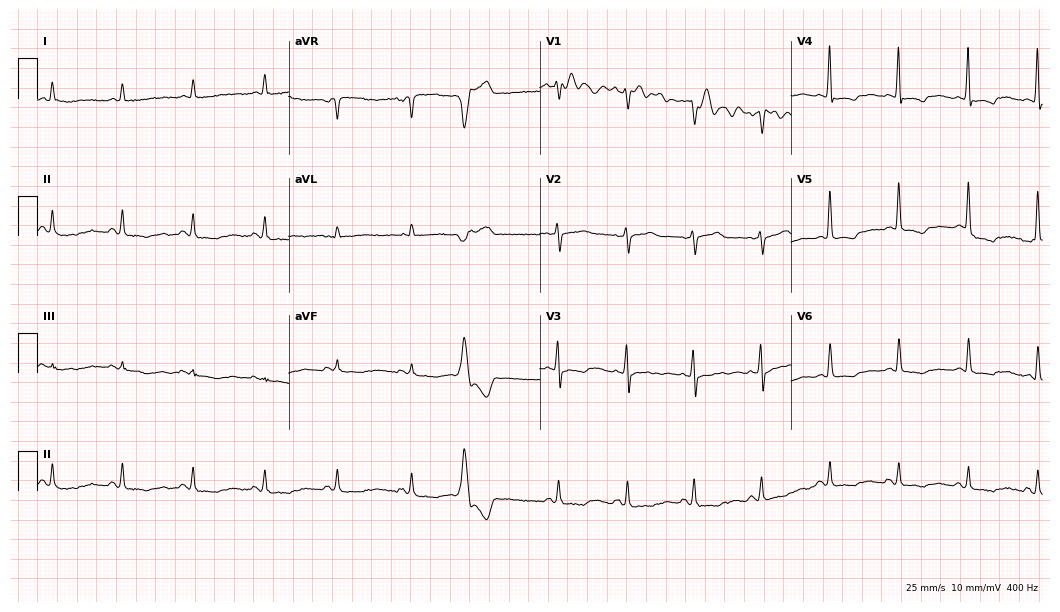
ECG (10.2-second recording at 400 Hz) — a 77-year-old male. Screened for six findings — first-degree AV block, right bundle branch block, left bundle branch block, sinus bradycardia, atrial fibrillation, sinus tachycardia — none is recorded. Only these six findings were labelled.